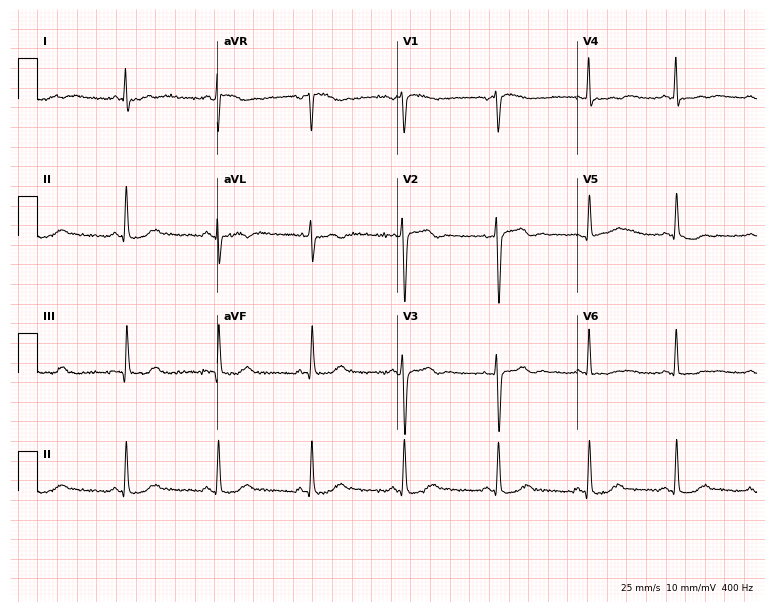
Resting 12-lead electrocardiogram (7.3-second recording at 400 Hz). Patient: a 47-year-old female. Read as a normal ECG.